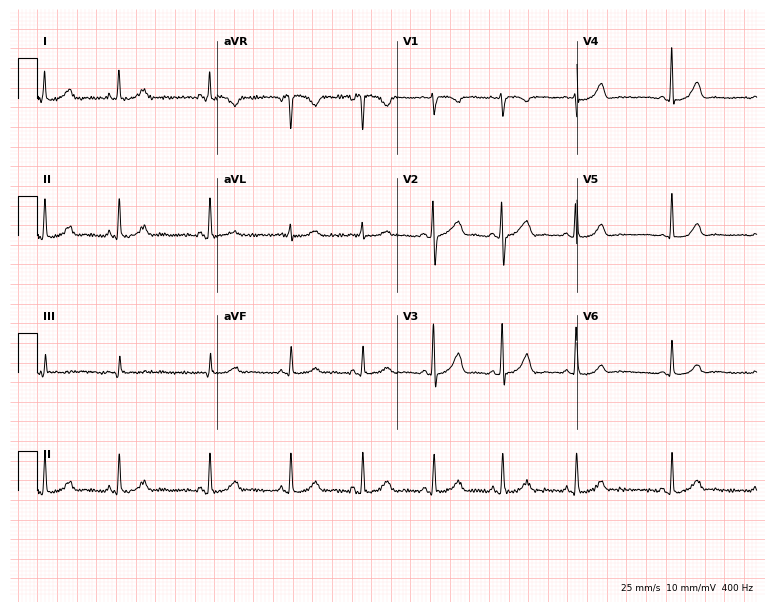
ECG — a female, 36 years old. Labelled as a normal ECG.